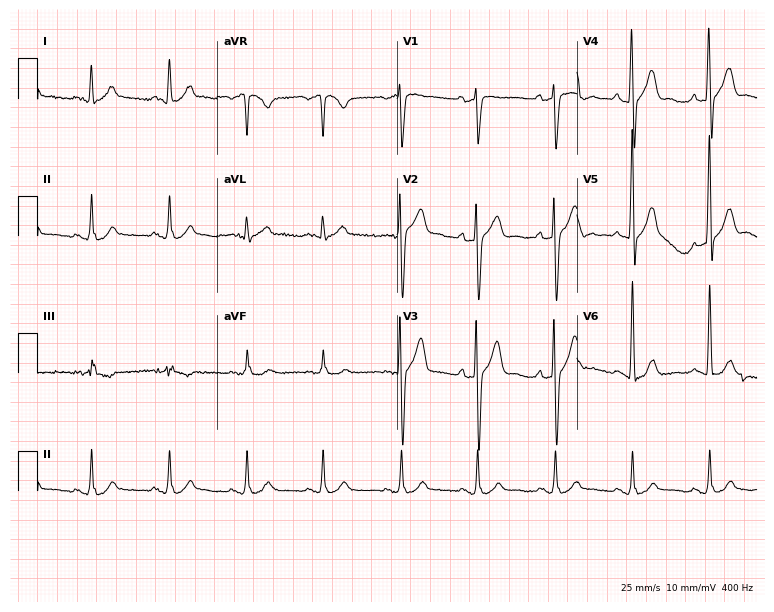
ECG (7.3-second recording at 400 Hz) — a man, 60 years old. Screened for six findings — first-degree AV block, right bundle branch block (RBBB), left bundle branch block (LBBB), sinus bradycardia, atrial fibrillation (AF), sinus tachycardia — none is recorded. Other findings, if any, are not listed.